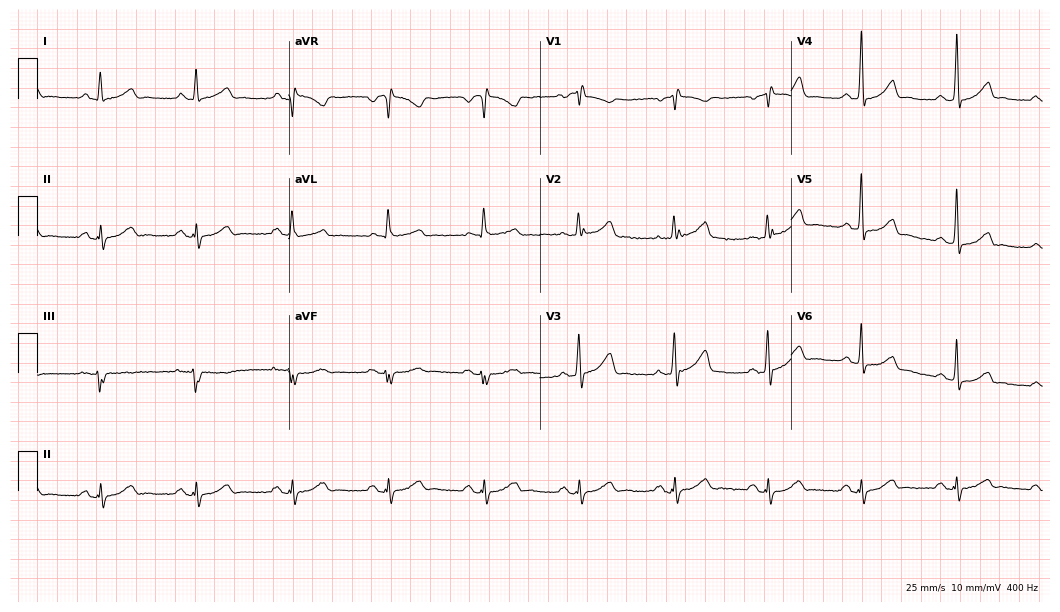
Standard 12-lead ECG recorded from a female, 62 years old. None of these six findings is recorded: first-degree AV block, right bundle branch block (RBBB), left bundle branch block (LBBB), sinus bradycardia, atrial fibrillation (AF), sinus tachycardia. Other findings, if any, are not listed.